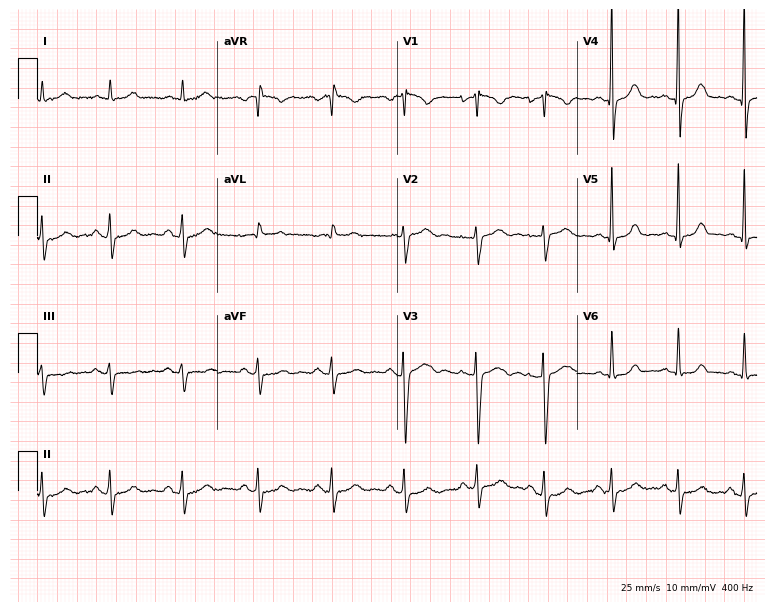
Standard 12-lead ECG recorded from a male patient, 47 years old (7.3-second recording at 400 Hz). None of these six findings is recorded: first-degree AV block, right bundle branch block (RBBB), left bundle branch block (LBBB), sinus bradycardia, atrial fibrillation (AF), sinus tachycardia. Findings outside these six are not listed.